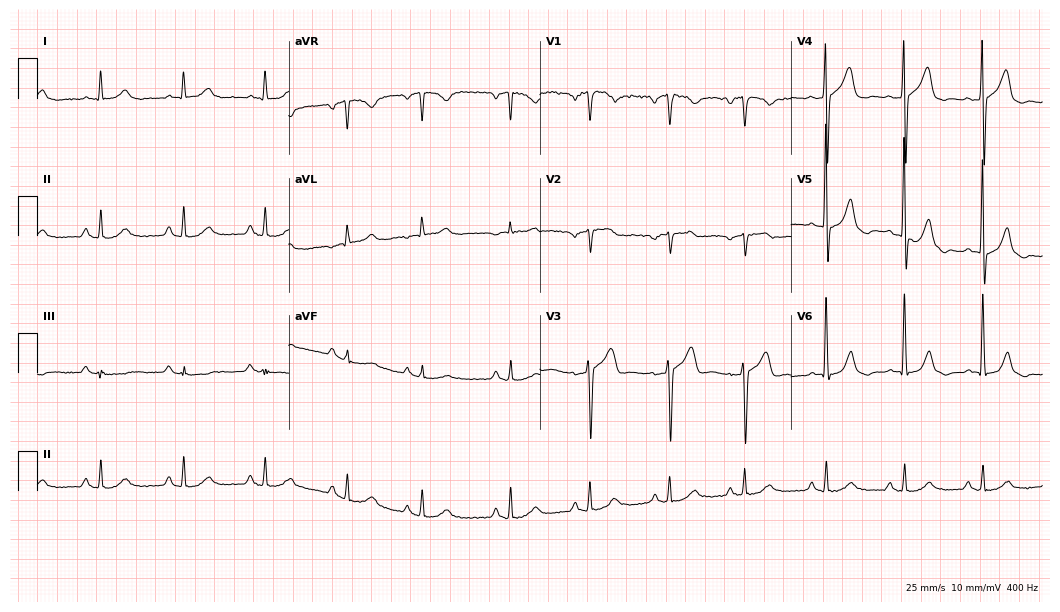
Electrocardiogram (10.2-second recording at 400 Hz), a male patient, 72 years old. Overall reading on record: normal ECG.